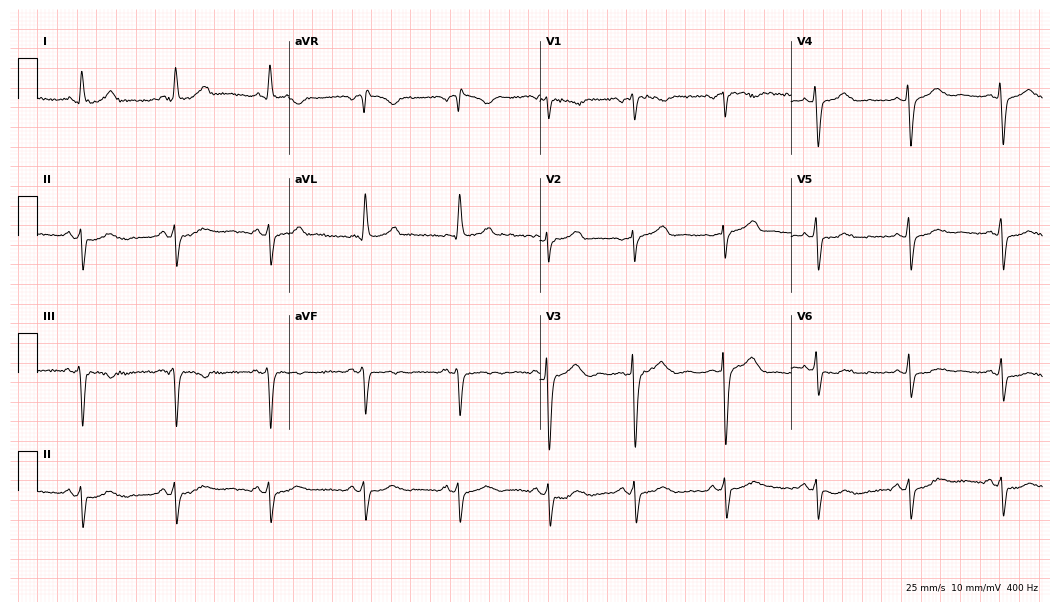
Resting 12-lead electrocardiogram (10.2-second recording at 400 Hz). Patient: a woman, 65 years old. None of these six findings is recorded: first-degree AV block, right bundle branch block (RBBB), left bundle branch block (LBBB), sinus bradycardia, atrial fibrillation (AF), sinus tachycardia. Only these six findings were labelled.